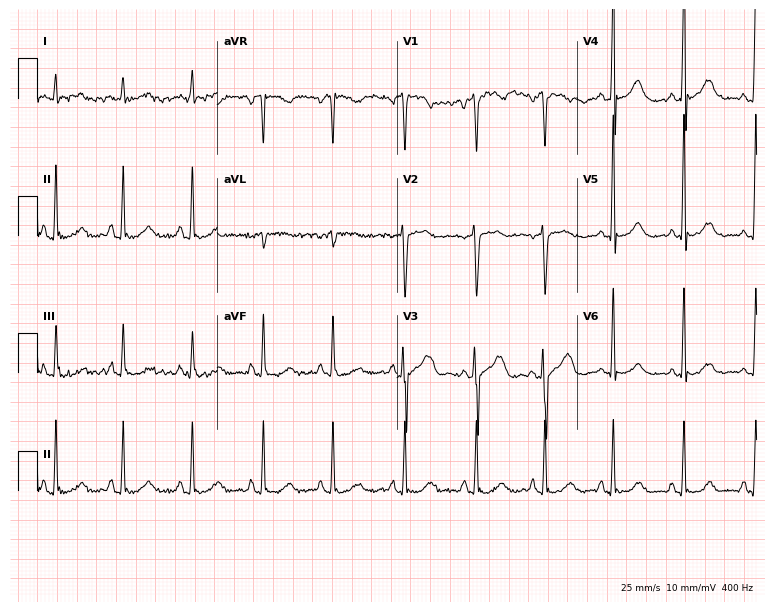
12-lead ECG from a 47-year-old man. No first-degree AV block, right bundle branch block, left bundle branch block, sinus bradycardia, atrial fibrillation or sinus tachycardia recorded for this tracing.